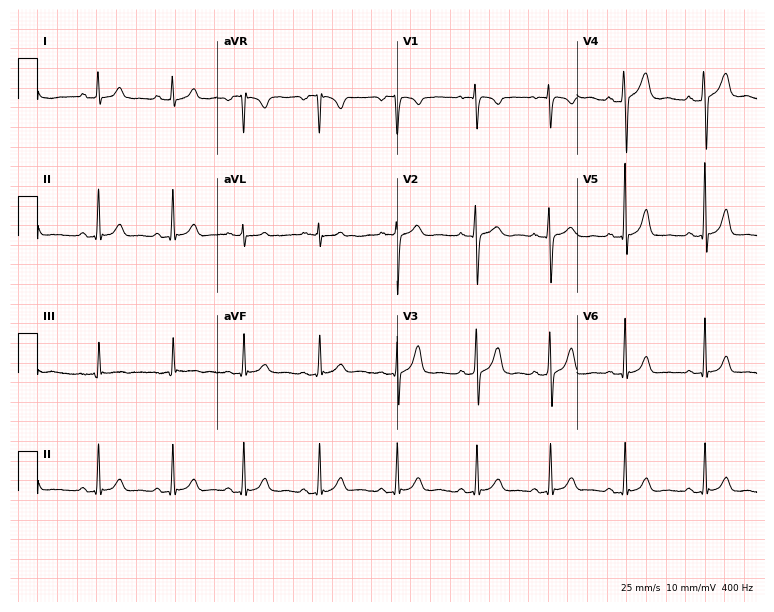
ECG (7.3-second recording at 400 Hz) — a 20-year-old woman. Labelled as a normal ECG.